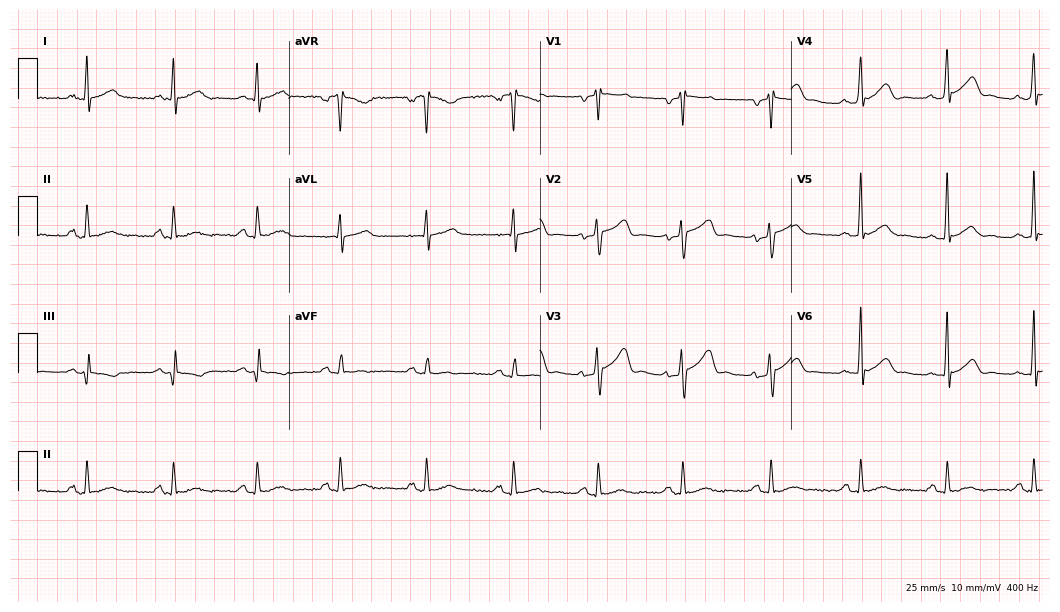
Electrocardiogram (10.2-second recording at 400 Hz), a 42-year-old male. Overall reading on record: normal ECG.